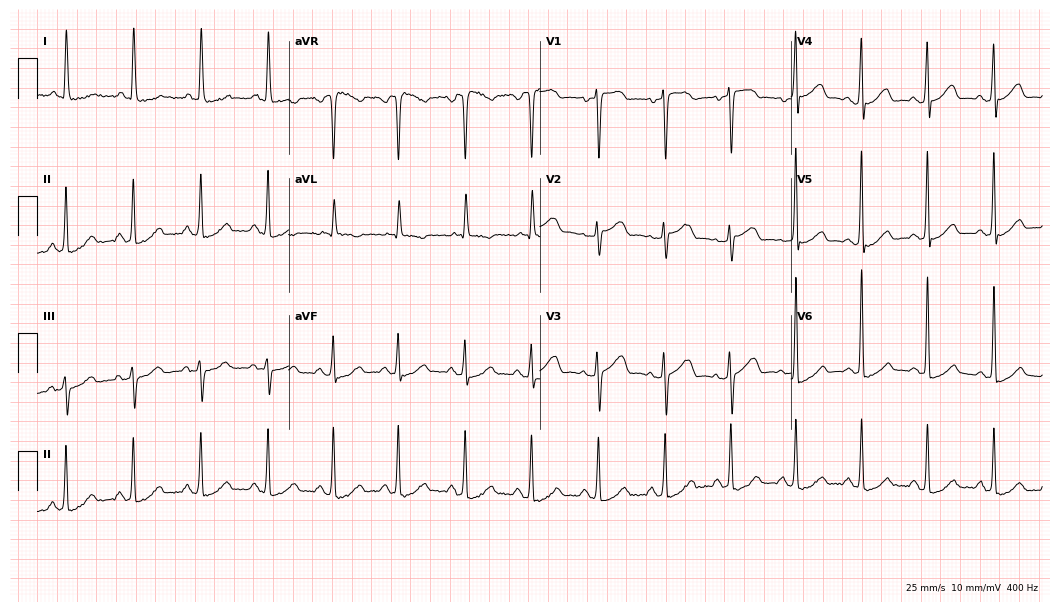
Standard 12-lead ECG recorded from a female, 69 years old. None of these six findings is recorded: first-degree AV block, right bundle branch block, left bundle branch block, sinus bradycardia, atrial fibrillation, sinus tachycardia. Only these six findings were labelled.